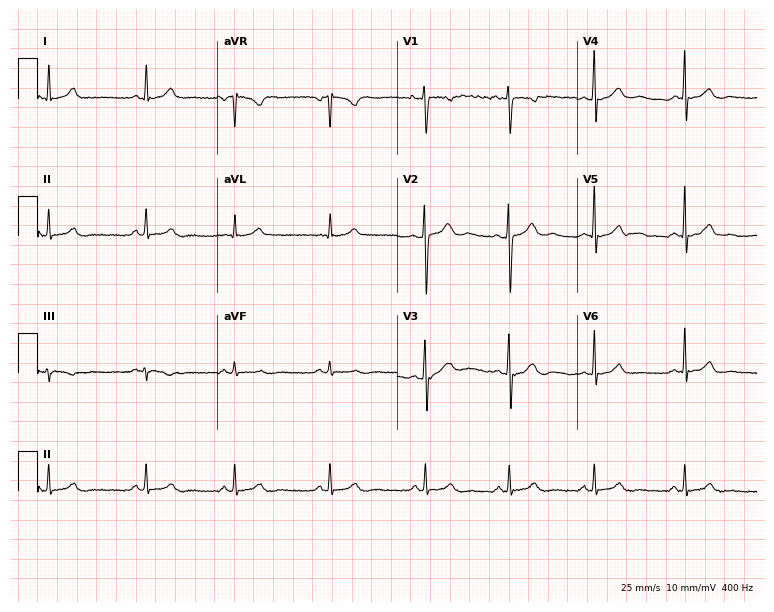
Standard 12-lead ECG recorded from a woman, 30 years old (7.3-second recording at 400 Hz). Read as a normal ECG.